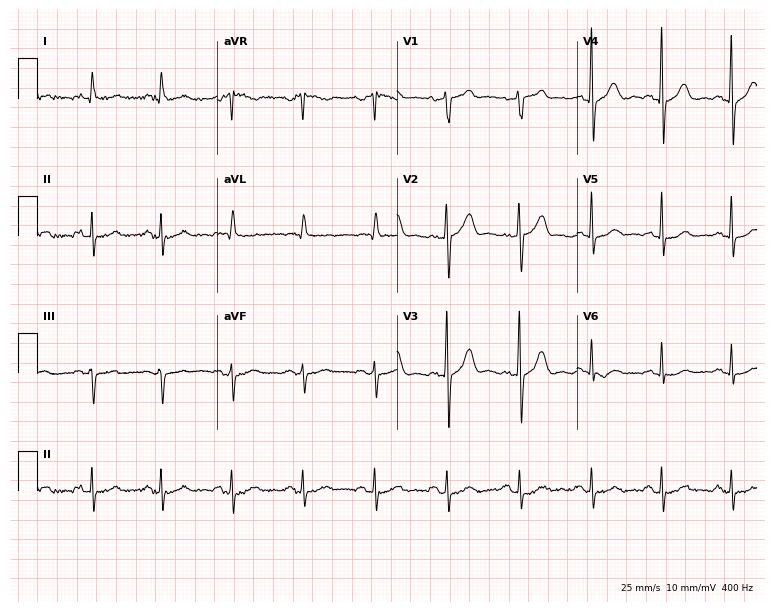
12-lead ECG (7.3-second recording at 400 Hz) from a male patient, 70 years old. Screened for six findings — first-degree AV block, right bundle branch block, left bundle branch block, sinus bradycardia, atrial fibrillation, sinus tachycardia — none is recorded.